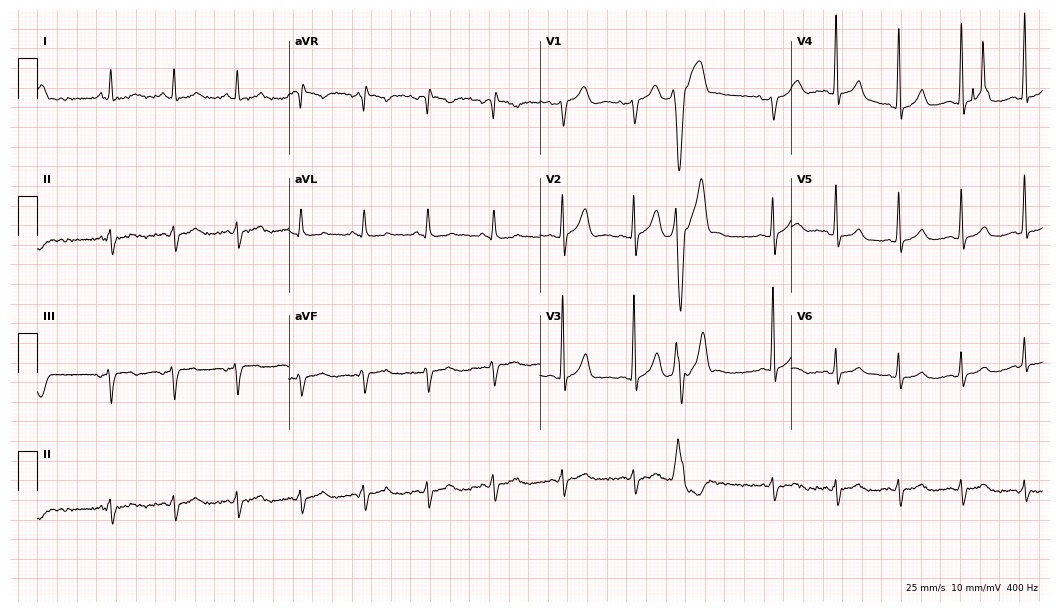
Resting 12-lead electrocardiogram (10.2-second recording at 400 Hz). Patient: a 57-year-old man. None of these six findings is recorded: first-degree AV block, right bundle branch block, left bundle branch block, sinus bradycardia, atrial fibrillation, sinus tachycardia. Findings outside these six are not listed.